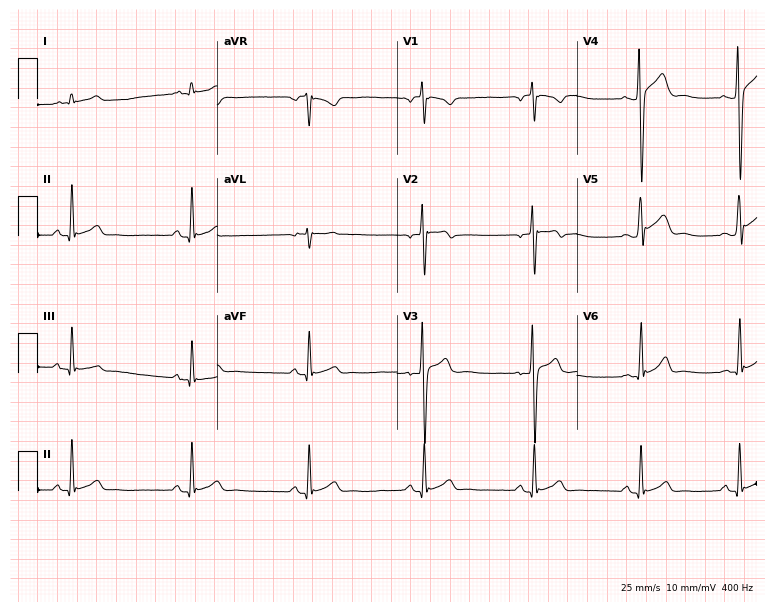
ECG (7.3-second recording at 400 Hz) — a male, 23 years old. Screened for six findings — first-degree AV block, right bundle branch block, left bundle branch block, sinus bradycardia, atrial fibrillation, sinus tachycardia — none is recorded.